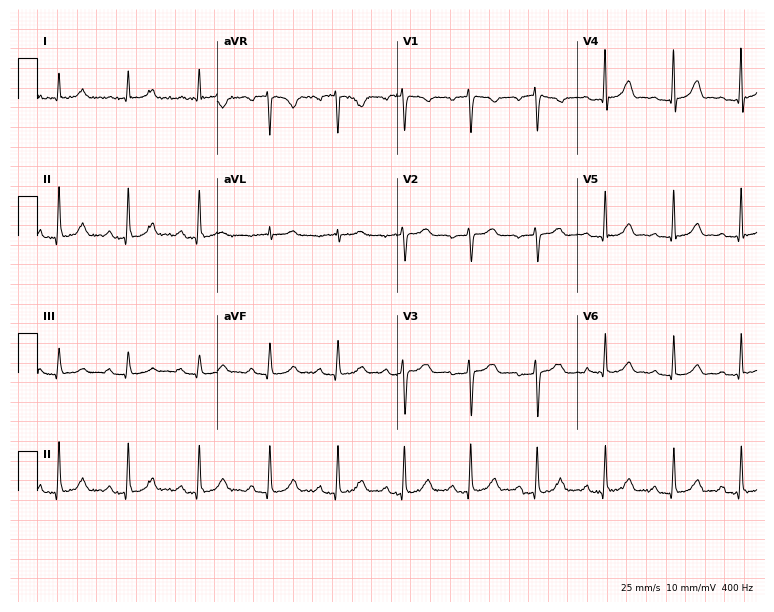
Resting 12-lead electrocardiogram. Patient: a 43-year-old female. Read as a normal ECG.